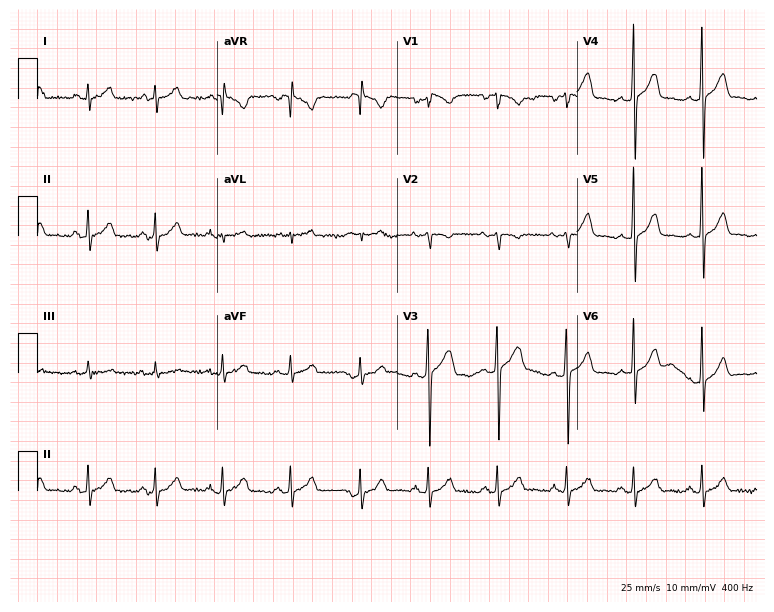
Standard 12-lead ECG recorded from a 20-year-old male. Read as a normal ECG.